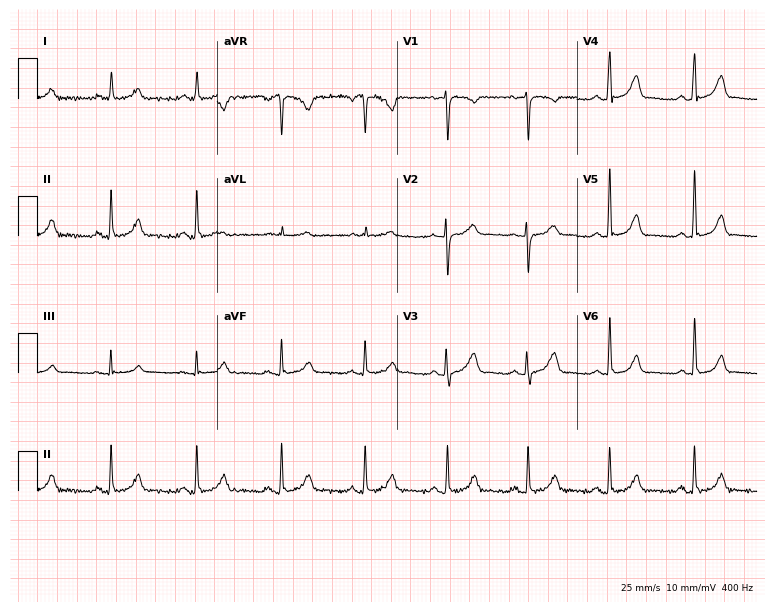
Standard 12-lead ECG recorded from a female, 37 years old. None of these six findings is recorded: first-degree AV block, right bundle branch block, left bundle branch block, sinus bradycardia, atrial fibrillation, sinus tachycardia. Other findings, if any, are not listed.